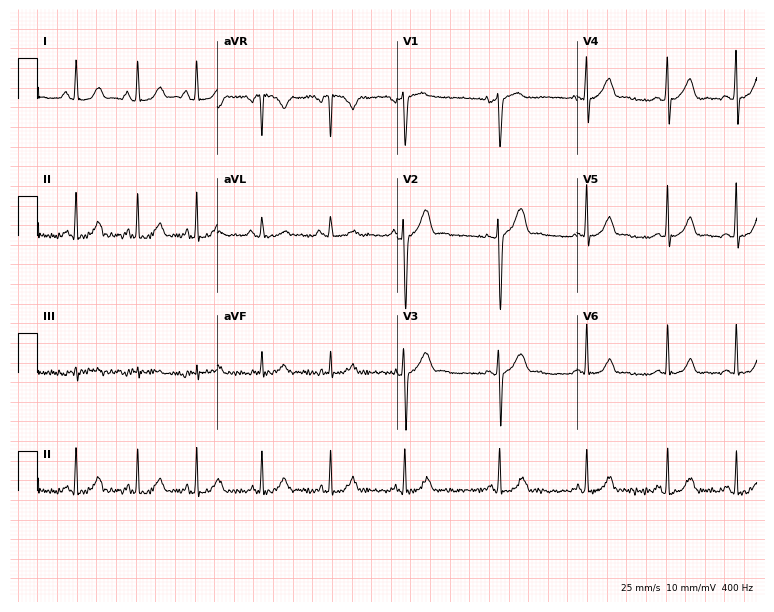
ECG (7.3-second recording at 400 Hz) — a woman, 19 years old. Labelled as a normal ECG.